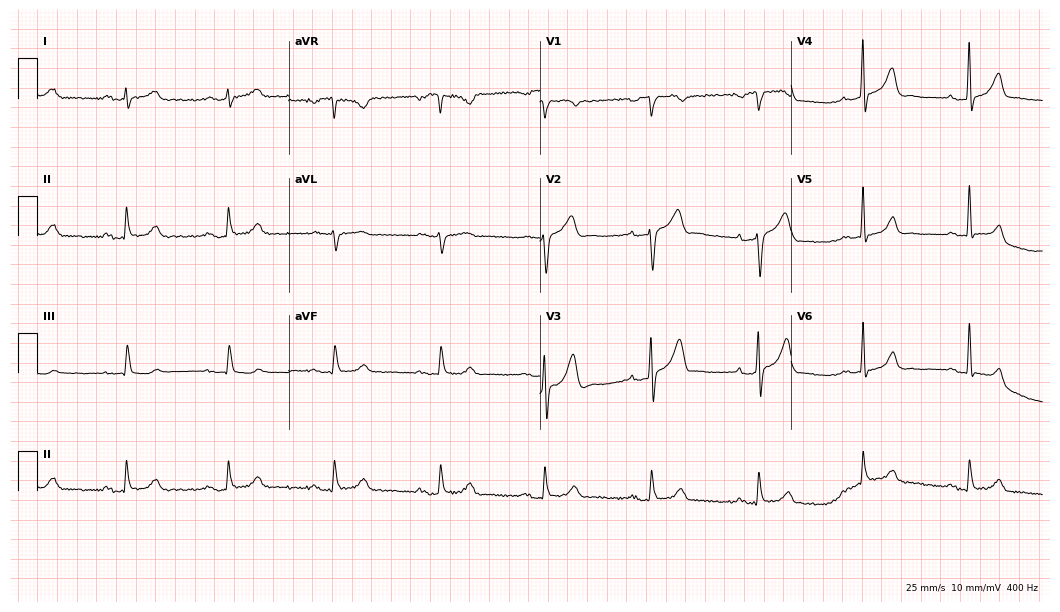
Standard 12-lead ECG recorded from a male, 69 years old. The tracing shows first-degree AV block.